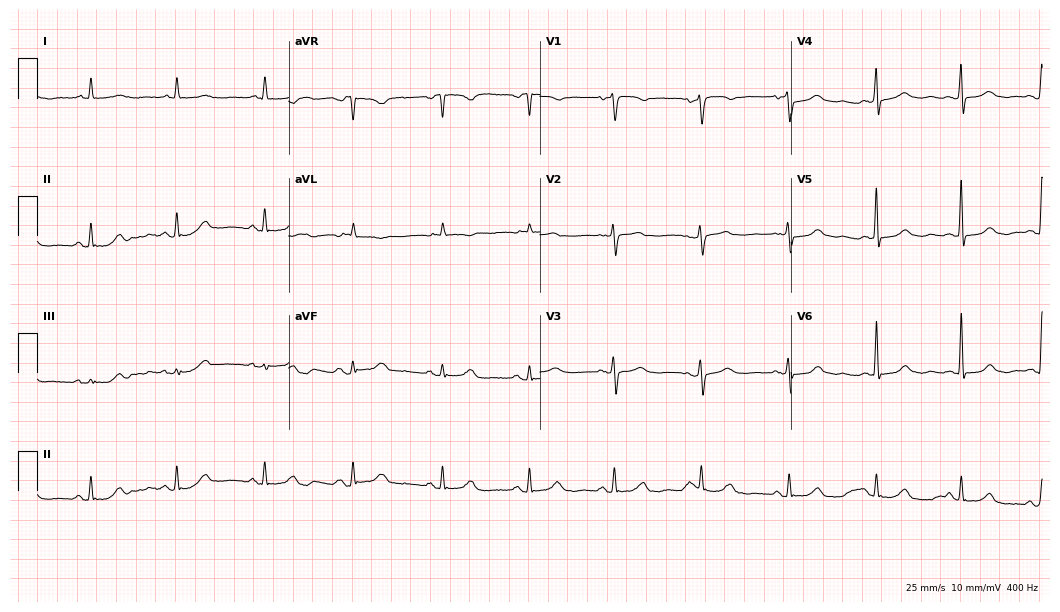
Resting 12-lead electrocardiogram (10.2-second recording at 400 Hz). Patient: a female, 81 years old. Read as a normal ECG.